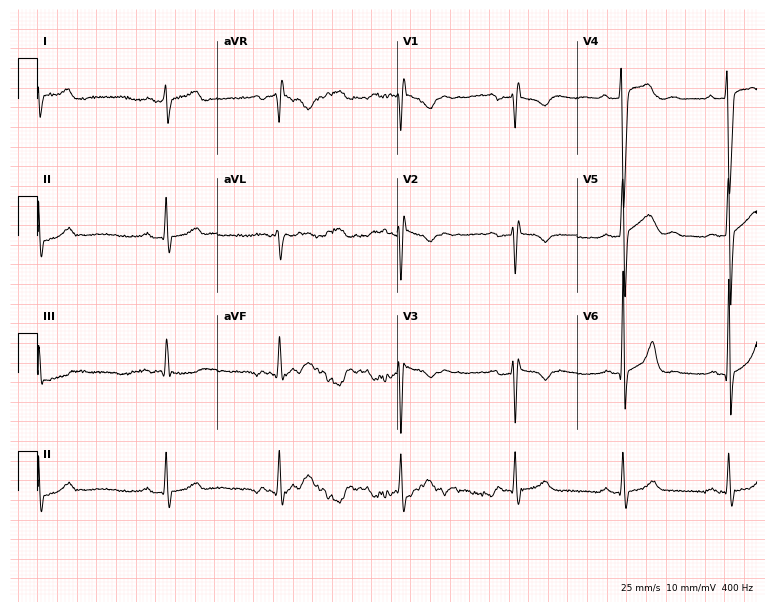
Resting 12-lead electrocardiogram (7.3-second recording at 400 Hz). Patient: a man, 24 years old. None of these six findings is recorded: first-degree AV block, right bundle branch block, left bundle branch block, sinus bradycardia, atrial fibrillation, sinus tachycardia.